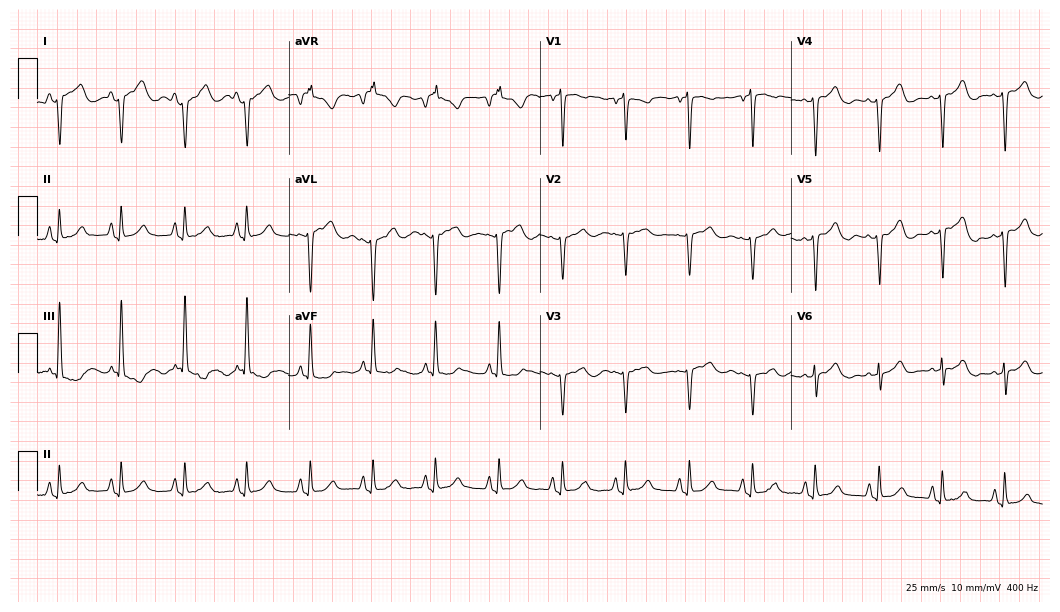
Electrocardiogram (10.2-second recording at 400 Hz), a 70-year-old female patient. Of the six screened findings (first-degree AV block, right bundle branch block (RBBB), left bundle branch block (LBBB), sinus bradycardia, atrial fibrillation (AF), sinus tachycardia), none is recorded. Only these six findings were labelled.